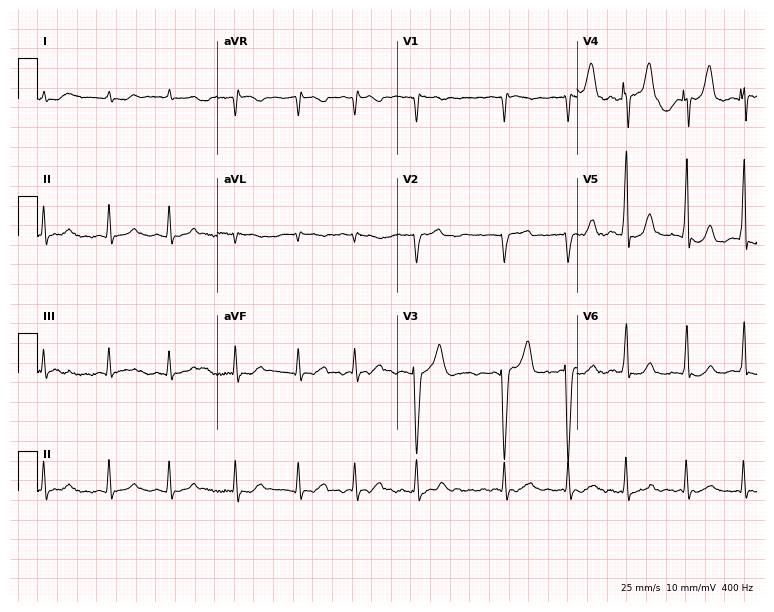
Electrocardiogram (7.3-second recording at 400 Hz), a male patient, 82 years old. Interpretation includes atrial fibrillation.